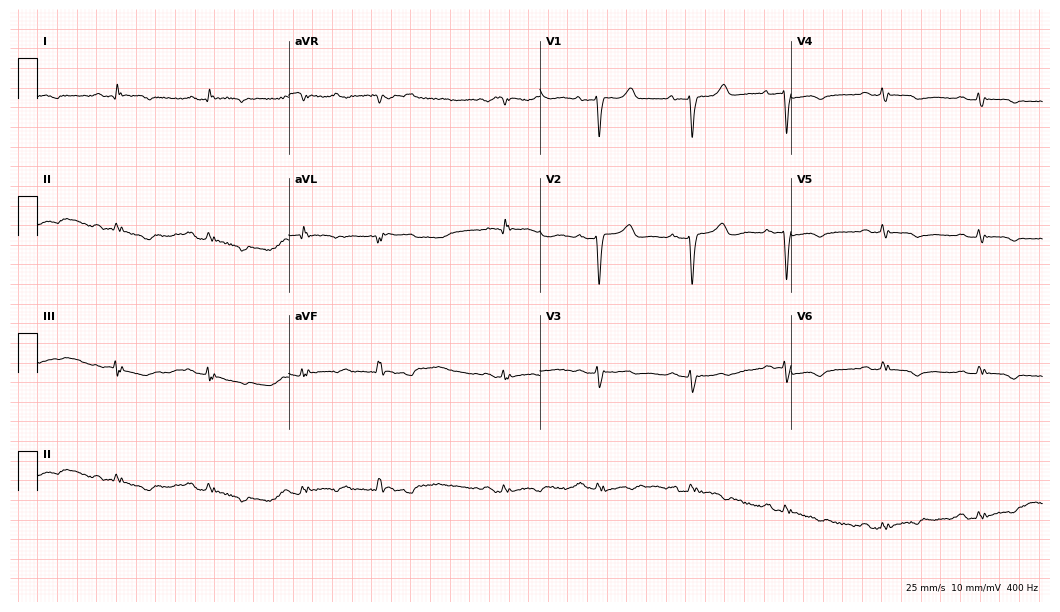
Electrocardiogram, a female, 52 years old. Of the six screened findings (first-degree AV block, right bundle branch block, left bundle branch block, sinus bradycardia, atrial fibrillation, sinus tachycardia), none is recorded. Findings outside these six are not listed.